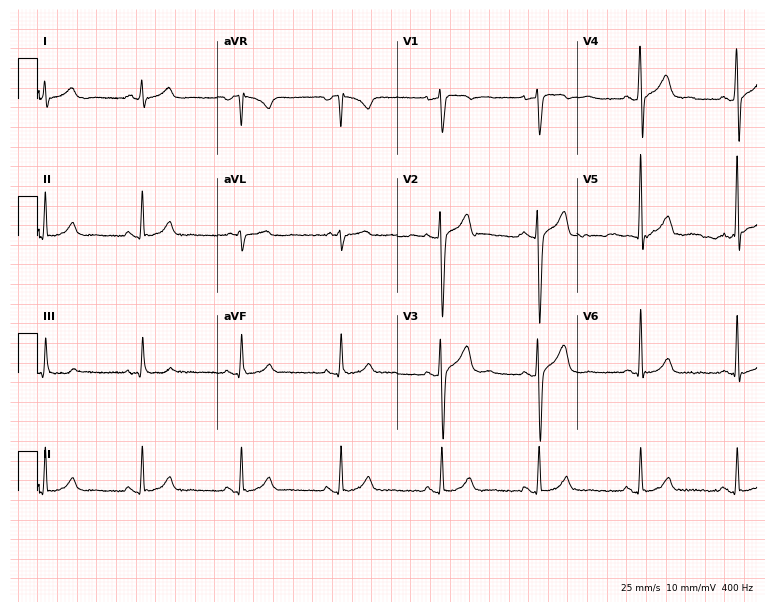
Resting 12-lead electrocardiogram. Patient: a male, 28 years old. None of these six findings is recorded: first-degree AV block, right bundle branch block, left bundle branch block, sinus bradycardia, atrial fibrillation, sinus tachycardia. Other findings, if any, are not listed.